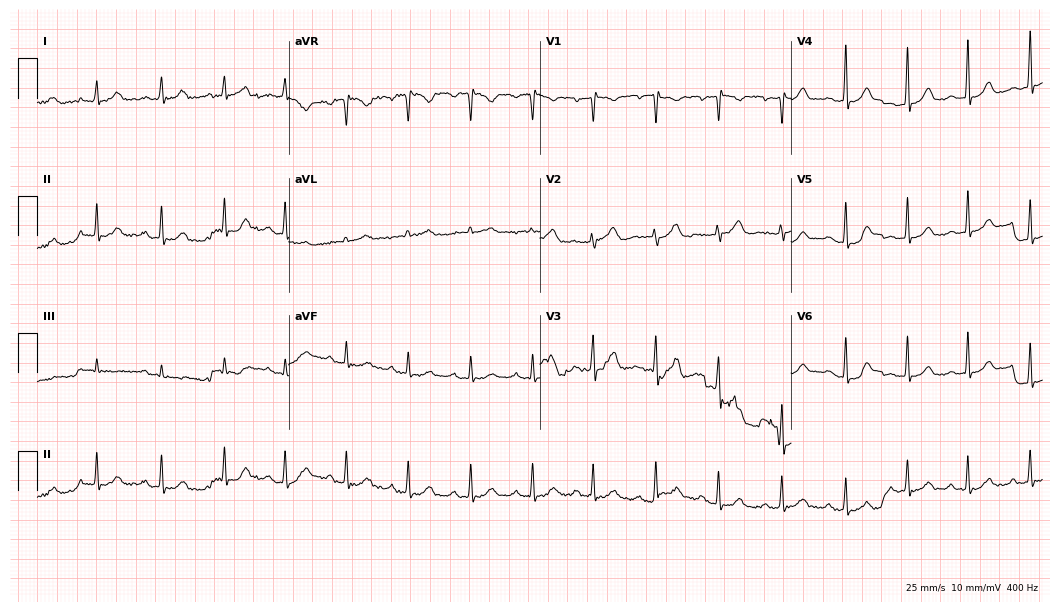
Electrocardiogram (10.2-second recording at 400 Hz), a 40-year-old woman. Overall reading on record: normal ECG.